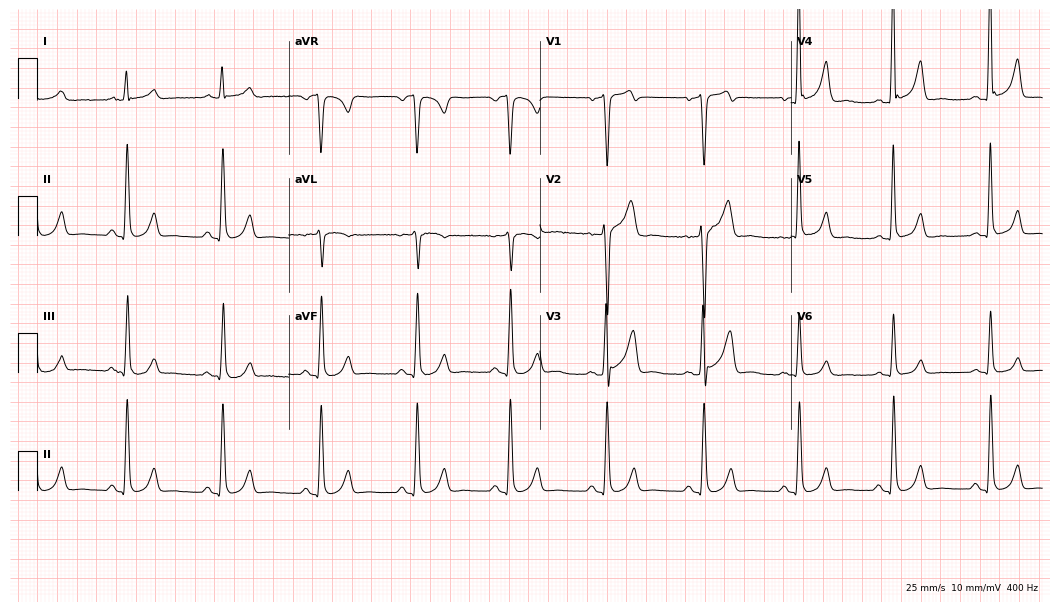
Standard 12-lead ECG recorded from a man, 49 years old (10.2-second recording at 400 Hz). None of these six findings is recorded: first-degree AV block, right bundle branch block, left bundle branch block, sinus bradycardia, atrial fibrillation, sinus tachycardia. Other findings, if any, are not listed.